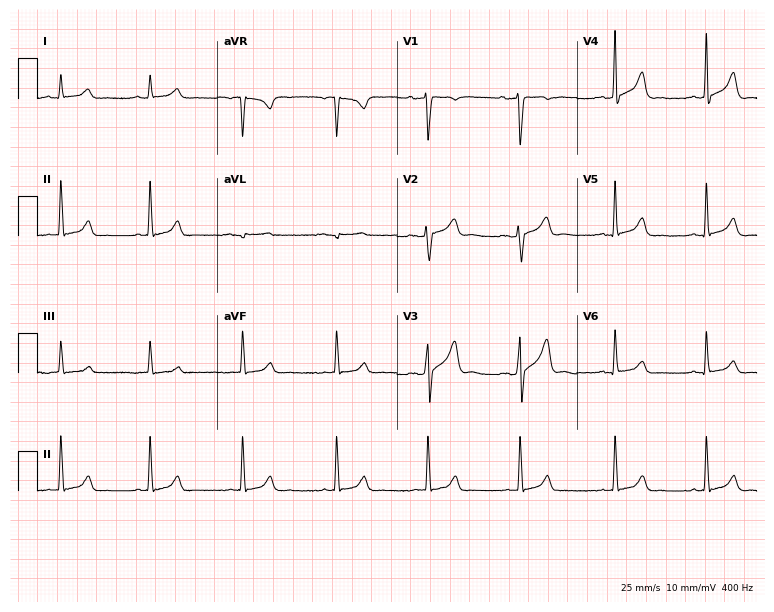
12-lead ECG from a male patient, 42 years old. Recorded interpretation: within normal limits.